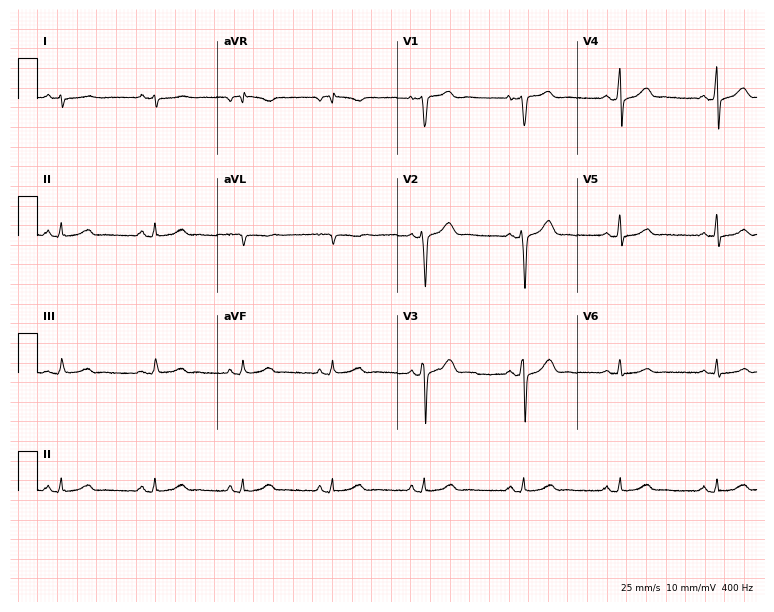
Electrocardiogram (7.3-second recording at 400 Hz), a male patient, 41 years old. Of the six screened findings (first-degree AV block, right bundle branch block, left bundle branch block, sinus bradycardia, atrial fibrillation, sinus tachycardia), none is recorded. Findings outside these six are not listed.